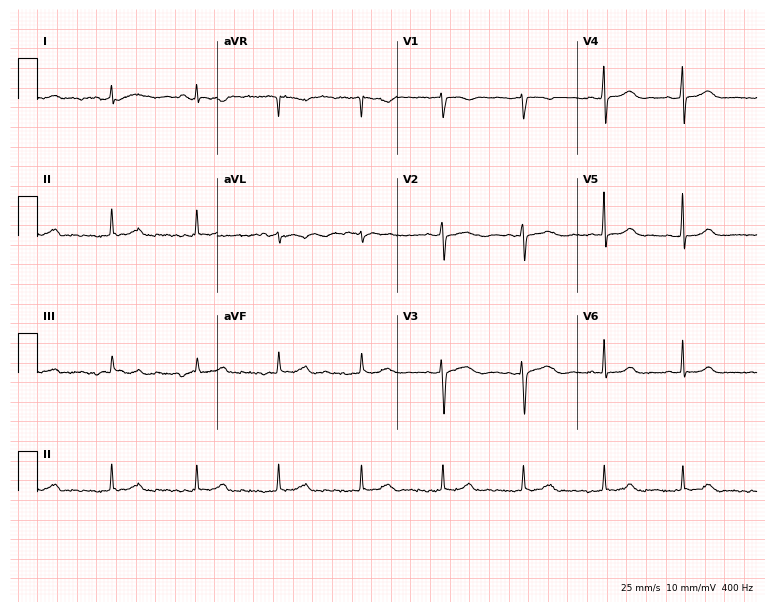
12-lead ECG from a 54-year-old female. Labelled as a normal ECG.